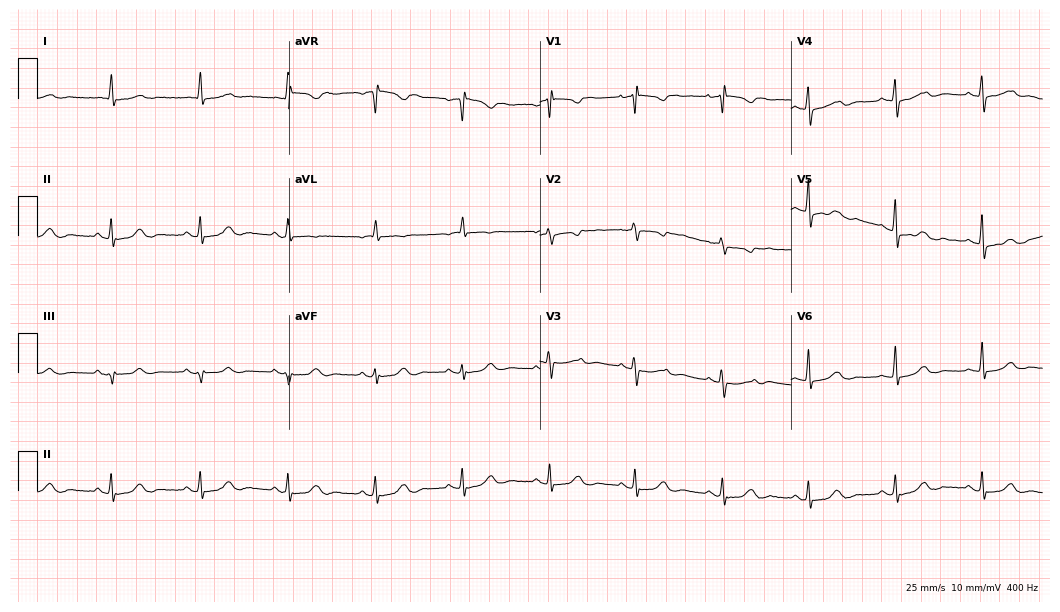
Resting 12-lead electrocardiogram. Patient: an 82-year-old female. Read as a normal ECG.